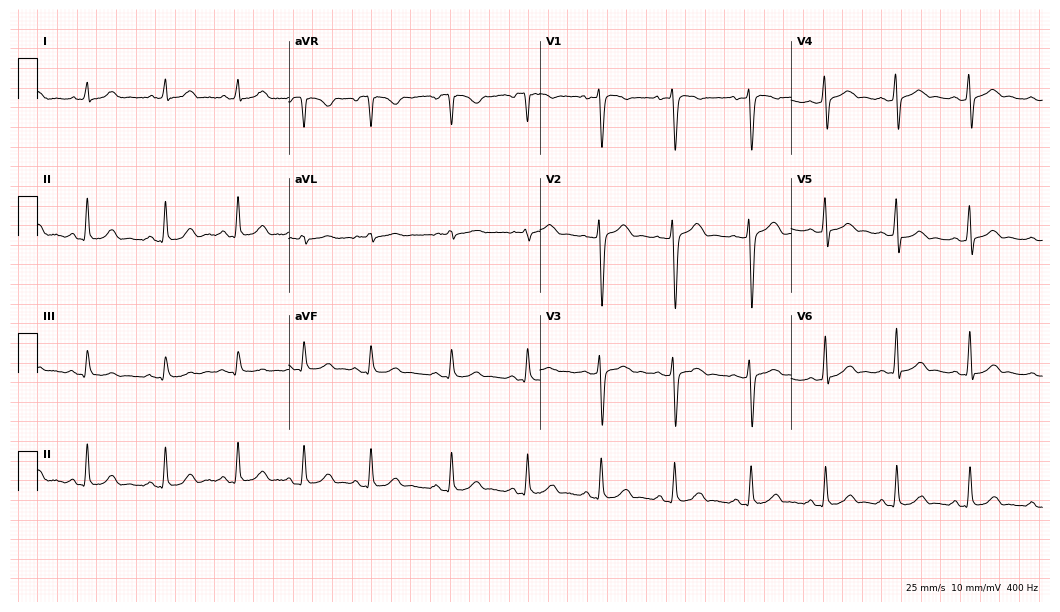
12-lead ECG from a 32-year-old male (10.2-second recording at 400 Hz). Recorded interpretation: within normal limits.